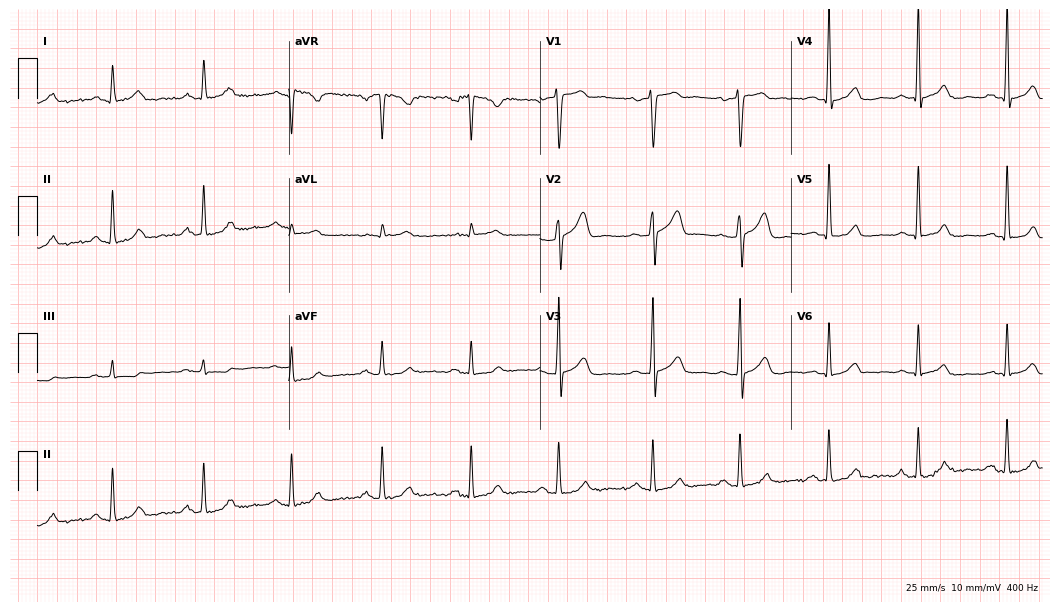
12-lead ECG from a 35-year-old male. Labelled as a normal ECG.